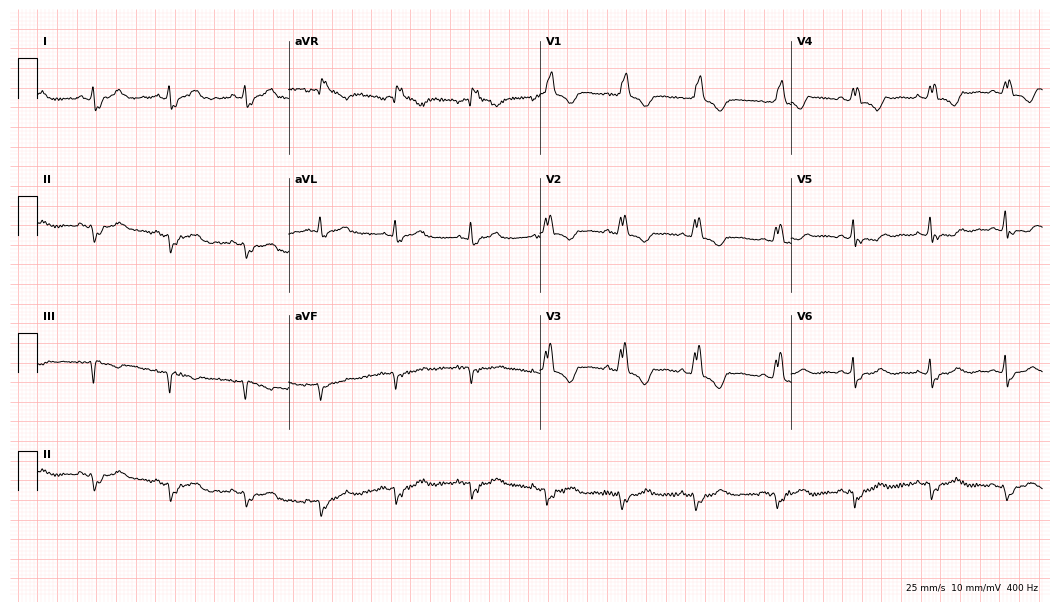
Standard 12-lead ECG recorded from a 70-year-old female. The tracing shows right bundle branch block (RBBB).